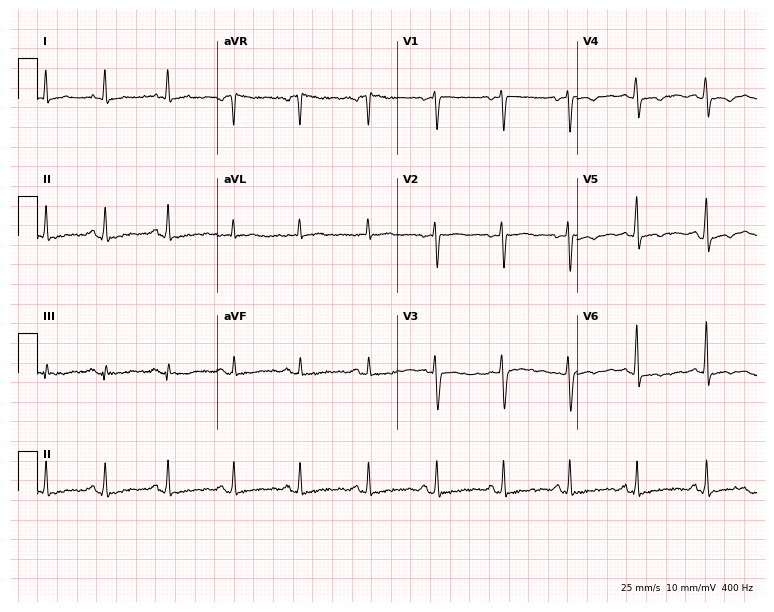
Resting 12-lead electrocardiogram. Patient: a 40-year-old female. None of these six findings is recorded: first-degree AV block, right bundle branch block, left bundle branch block, sinus bradycardia, atrial fibrillation, sinus tachycardia. Only these six findings were labelled.